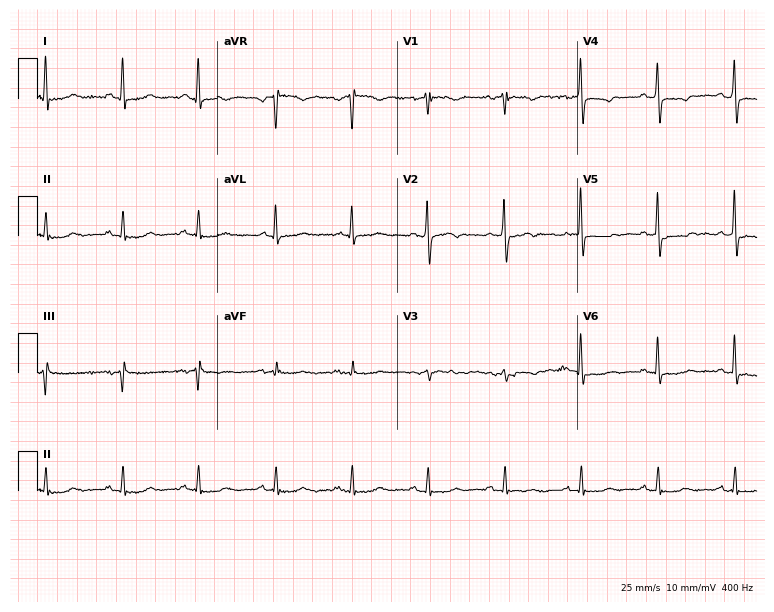
12-lead ECG (7.3-second recording at 400 Hz) from a woman, 57 years old. Screened for six findings — first-degree AV block, right bundle branch block, left bundle branch block, sinus bradycardia, atrial fibrillation, sinus tachycardia — none is recorded. Only these six findings were labelled.